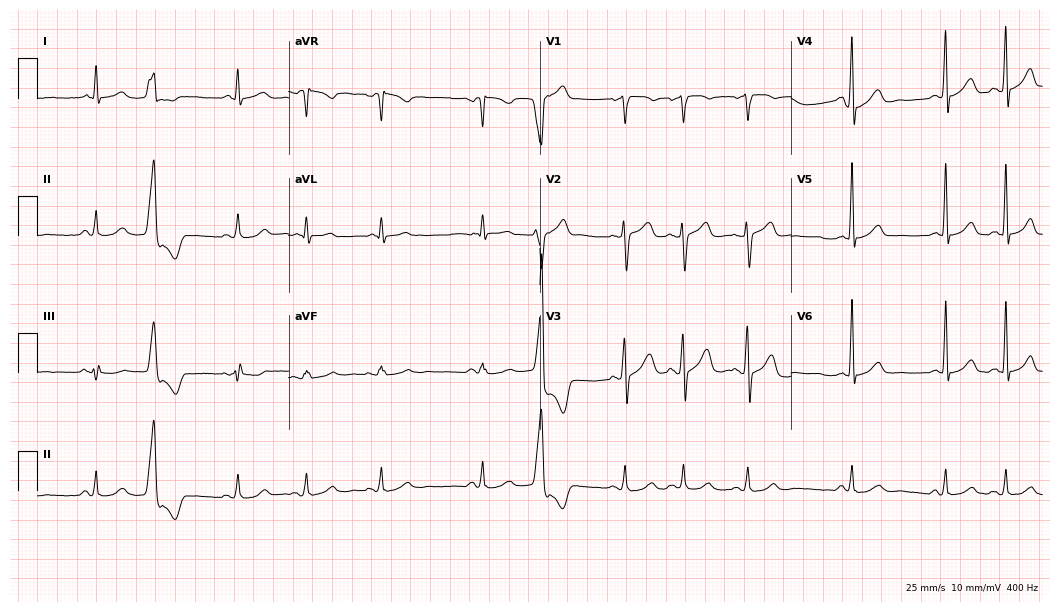
12-lead ECG from a 74-year-old male. No first-degree AV block, right bundle branch block, left bundle branch block, sinus bradycardia, atrial fibrillation or sinus tachycardia recorded for this tracing. Other findings, if any, are not listed.